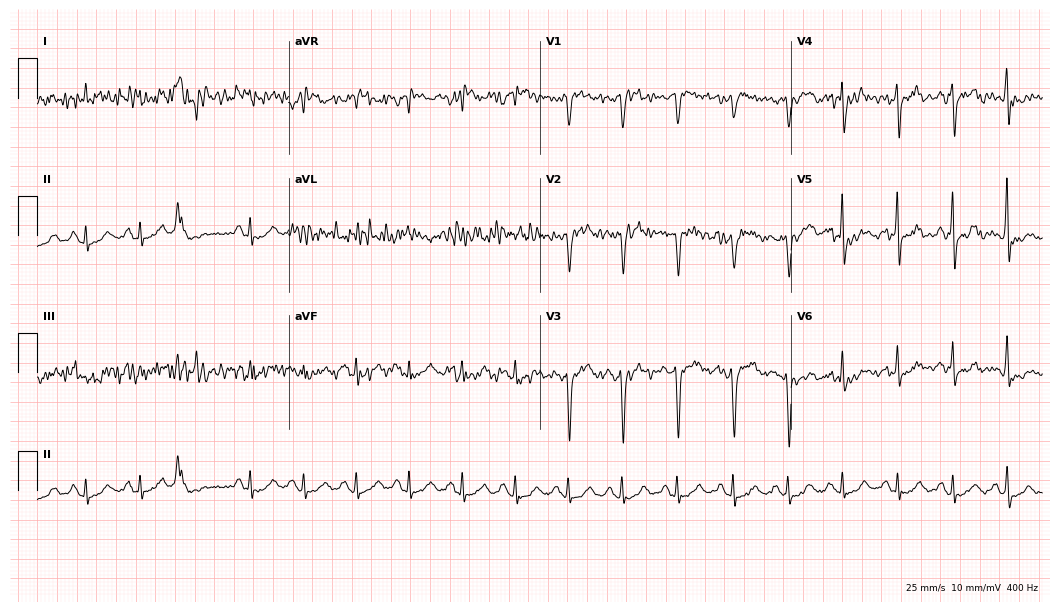
ECG — a 61-year-old man. Screened for six findings — first-degree AV block, right bundle branch block, left bundle branch block, sinus bradycardia, atrial fibrillation, sinus tachycardia — none is recorded. Other findings, if any, are not listed.